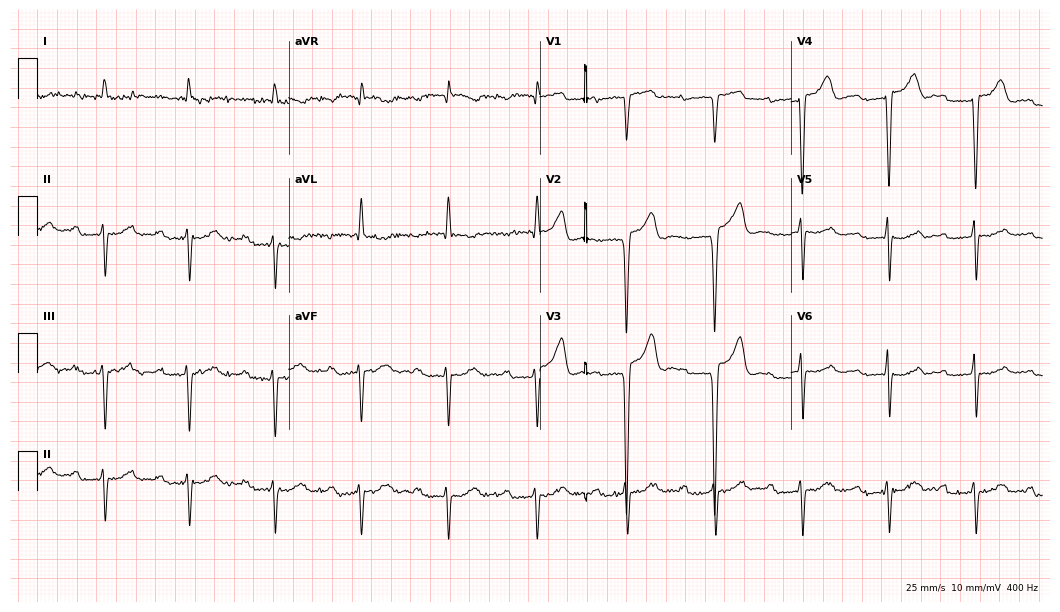
Standard 12-lead ECG recorded from a 74-year-old man (10.2-second recording at 400 Hz). The tracing shows first-degree AV block.